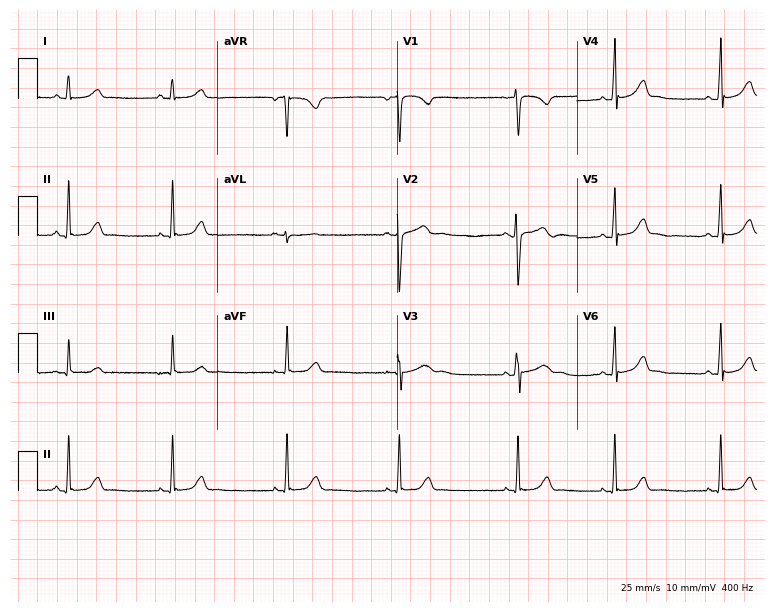
ECG — a 22-year-old woman. Screened for six findings — first-degree AV block, right bundle branch block (RBBB), left bundle branch block (LBBB), sinus bradycardia, atrial fibrillation (AF), sinus tachycardia — none is recorded. Findings outside these six are not listed.